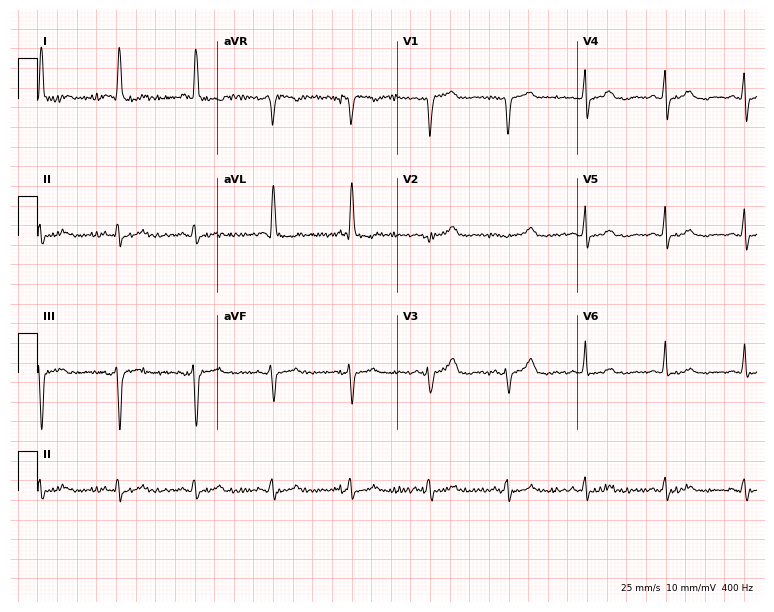
Standard 12-lead ECG recorded from an 82-year-old woman (7.3-second recording at 400 Hz). None of these six findings is recorded: first-degree AV block, right bundle branch block (RBBB), left bundle branch block (LBBB), sinus bradycardia, atrial fibrillation (AF), sinus tachycardia.